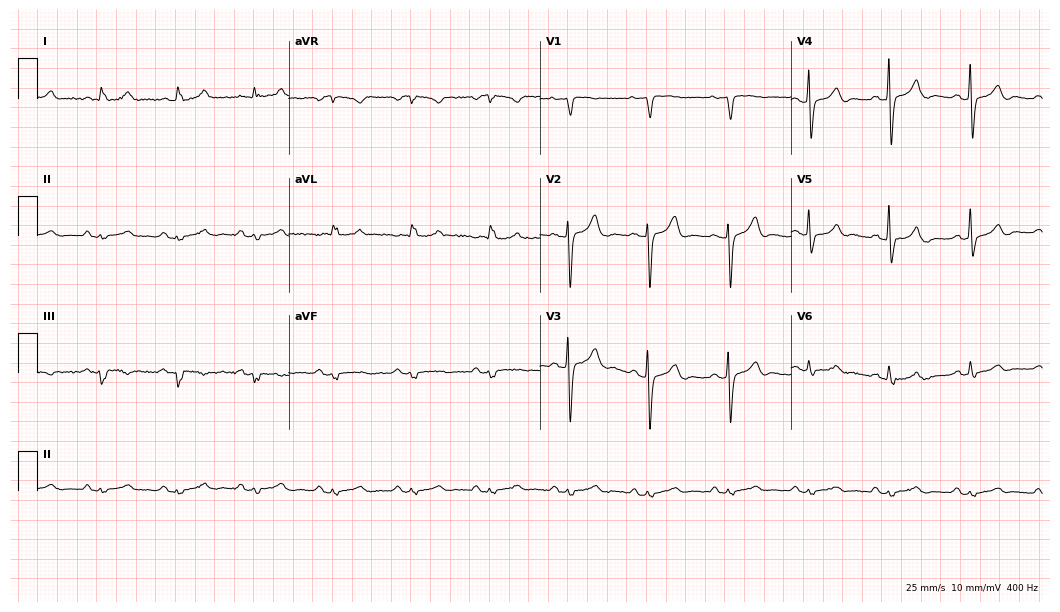
12-lead ECG from a male, 83 years old. Labelled as a normal ECG.